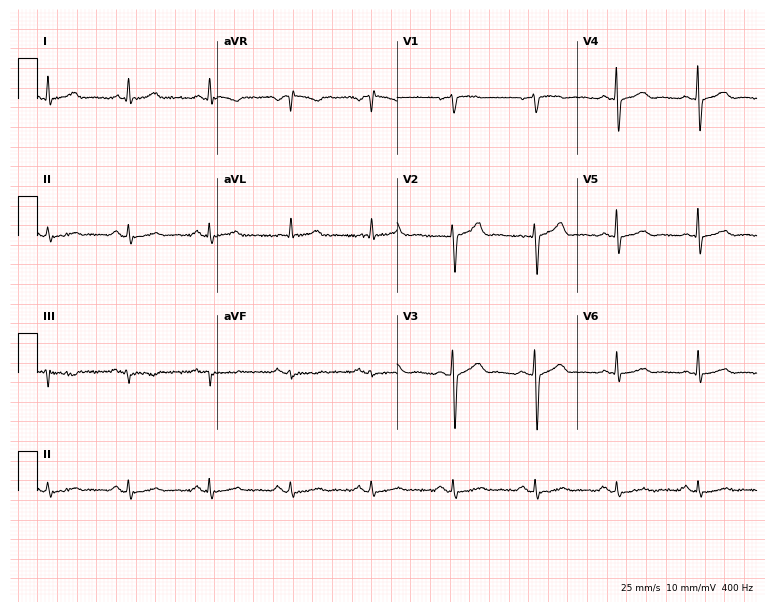
12-lead ECG from a 68-year-old male (7.3-second recording at 400 Hz). No first-degree AV block, right bundle branch block (RBBB), left bundle branch block (LBBB), sinus bradycardia, atrial fibrillation (AF) or sinus tachycardia recorded for this tracing.